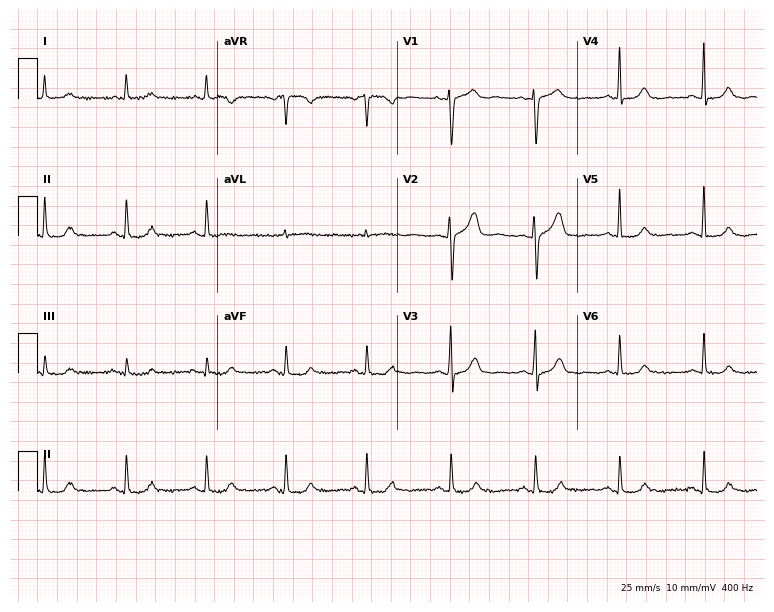
ECG (7.3-second recording at 400 Hz) — a 58-year-old woman. Screened for six findings — first-degree AV block, right bundle branch block, left bundle branch block, sinus bradycardia, atrial fibrillation, sinus tachycardia — none is recorded. Other findings, if any, are not listed.